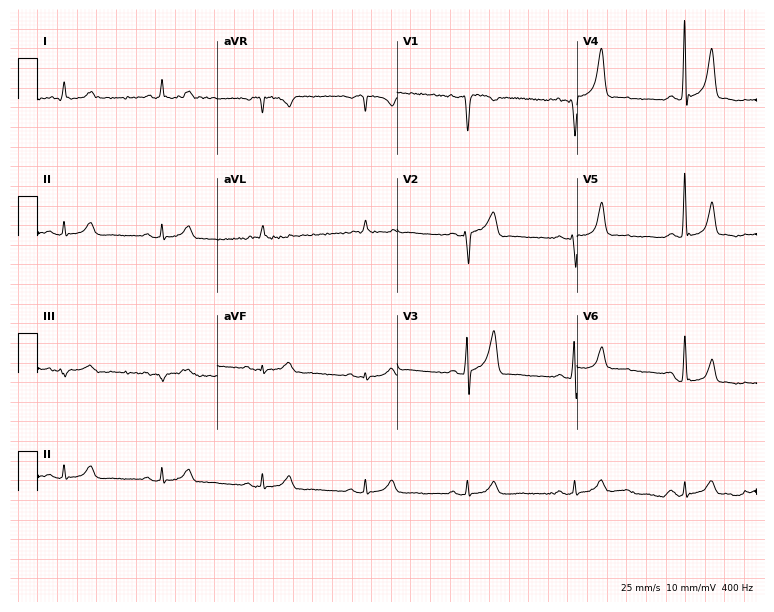
12-lead ECG from a male patient, 66 years old (7.3-second recording at 400 Hz). No first-degree AV block, right bundle branch block, left bundle branch block, sinus bradycardia, atrial fibrillation or sinus tachycardia recorded for this tracing. Other findings, if any, are not listed.